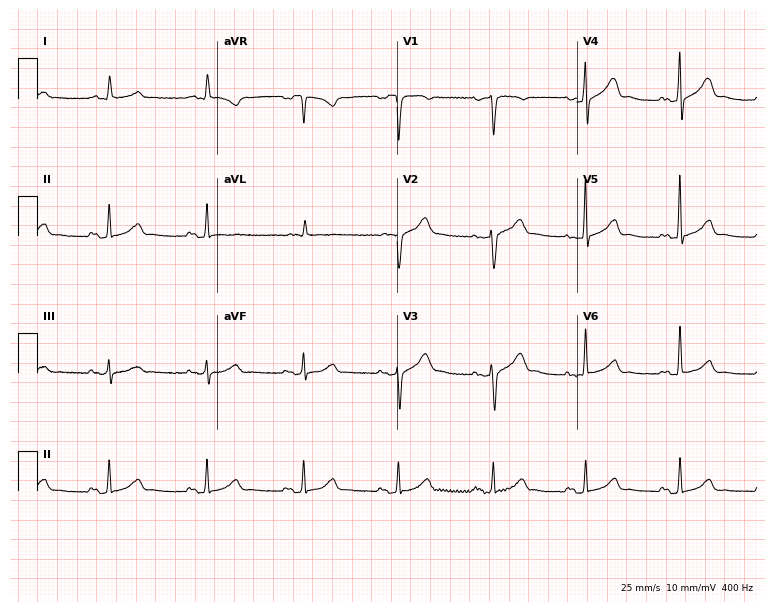
Electrocardiogram, an 80-year-old woman. Of the six screened findings (first-degree AV block, right bundle branch block (RBBB), left bundle branch block (LBBB), sinus bradycardia, atrial fibrillation (AF), sinus tachycardia), none is recorded. Other findings, if any, are not listed.